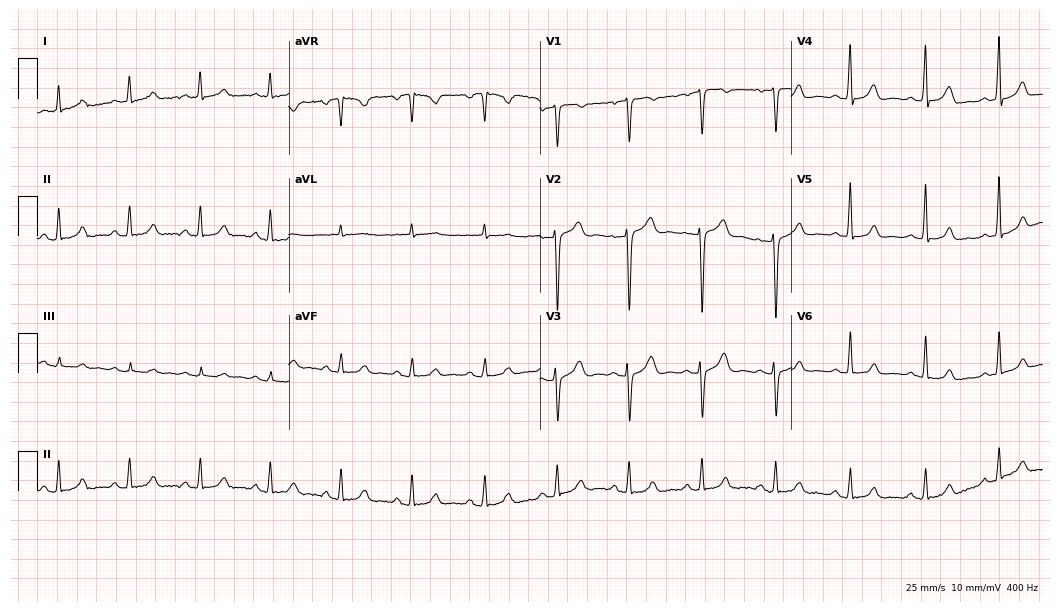
Resting 12-lead electrocardiogram (10.2-second recording at 400 Hz). Patient: a 40-year-old woman. Read as a normal ECG.